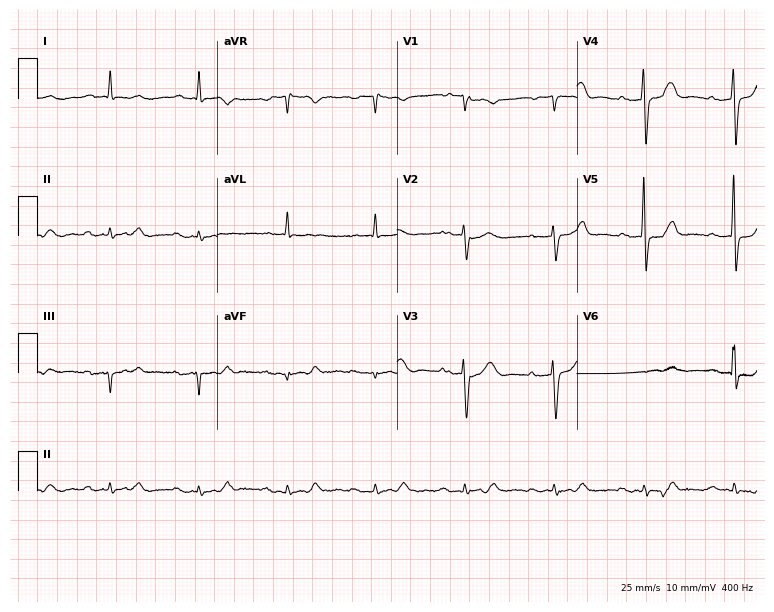
ECG — a man, 80 years old. Labelled as a normal ECG.